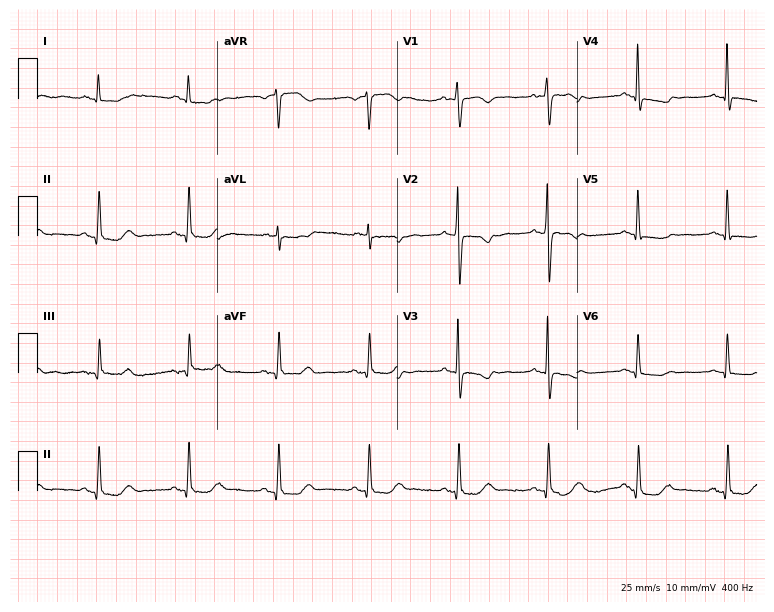
ECG — a woman, 64 years old. Screened for six findings — first-degree AV block, right bundle branch block (RBBB), left bundle branch block (LBBB), sinus bradycardia, atrial fibrillation (AF), sinus tachycardia — none is recorded.